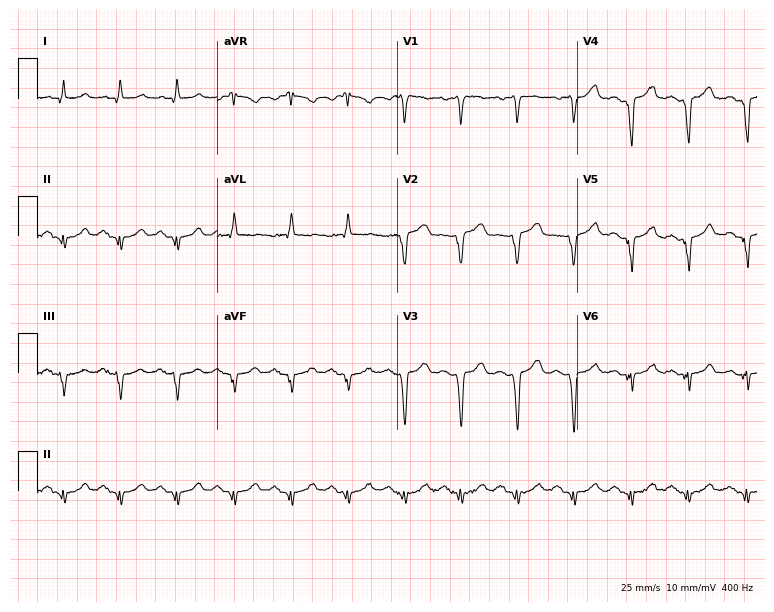
12-lead ECG (7.3-second recording at 400 Hz) from a male, 61 years old. Findings include sinus tachycardia (a sinus rate of 100 beats per minute or more).